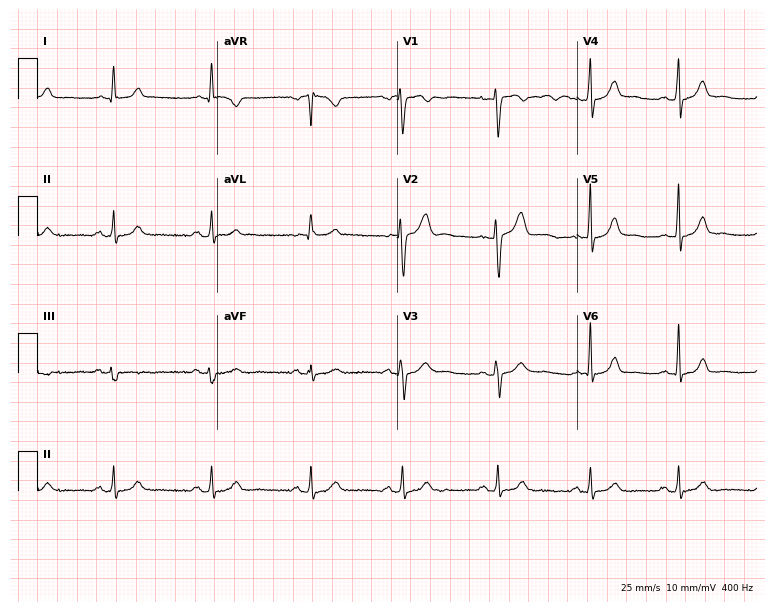
Standard 12-lead ECG recorded from a 30-year-old female patient. Read as a normal ECG.